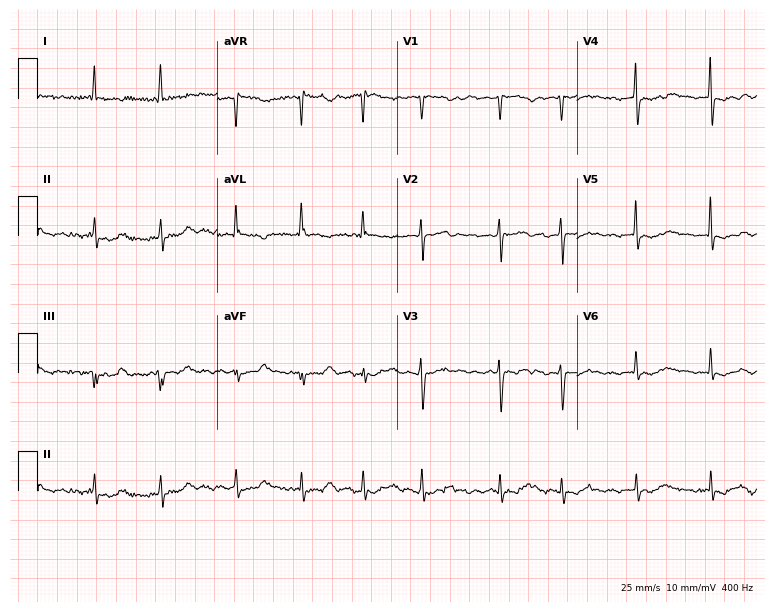
12-lead ECG from a 73-year-old female. Shows atrial fibrillation (AF).